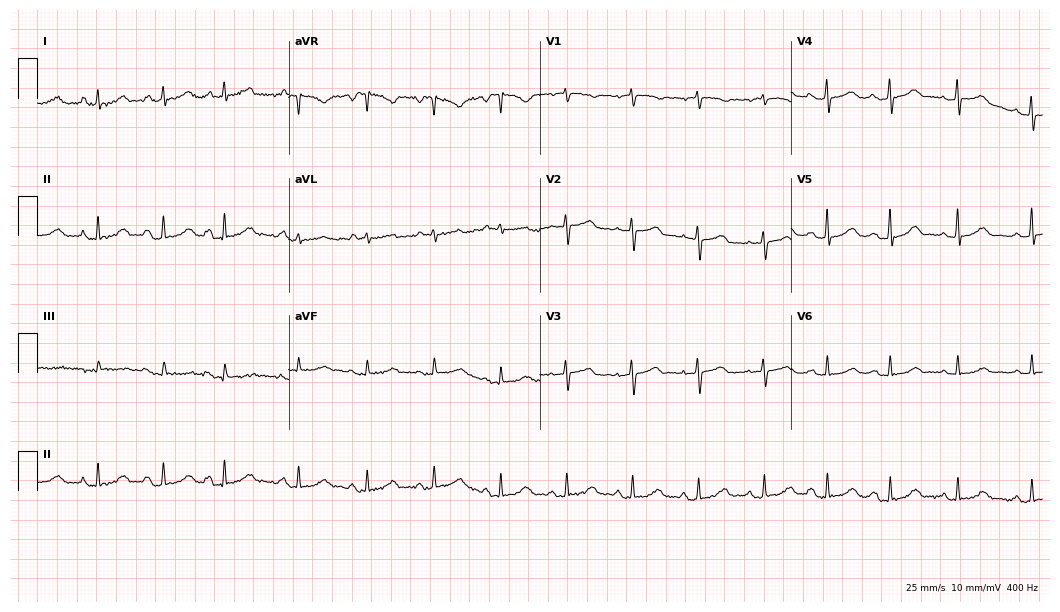
Electrocardiogram, a female patient, 74 years old. Overall reading on record: normal ECG.